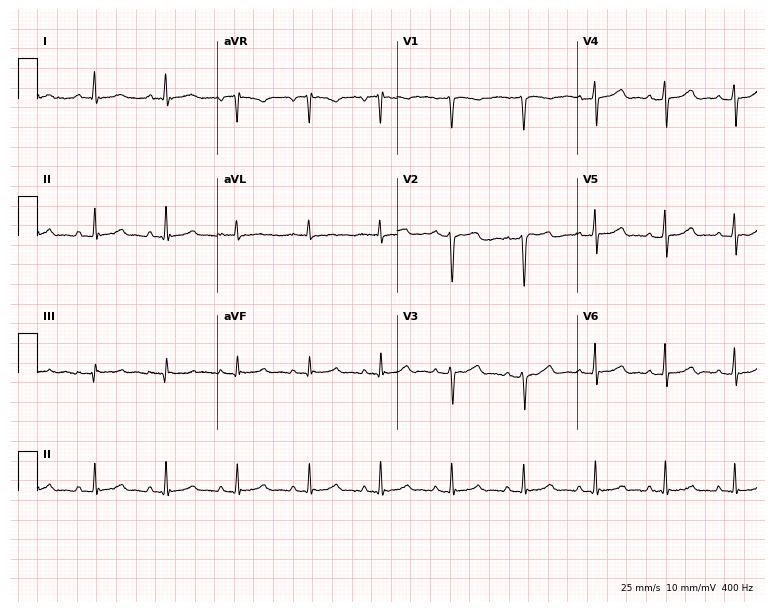
Resting 12-lead electrocardiogram (7.3-second recording at 400 Hz). Patient: a woman, 54 years old. Read as a normal ECG.